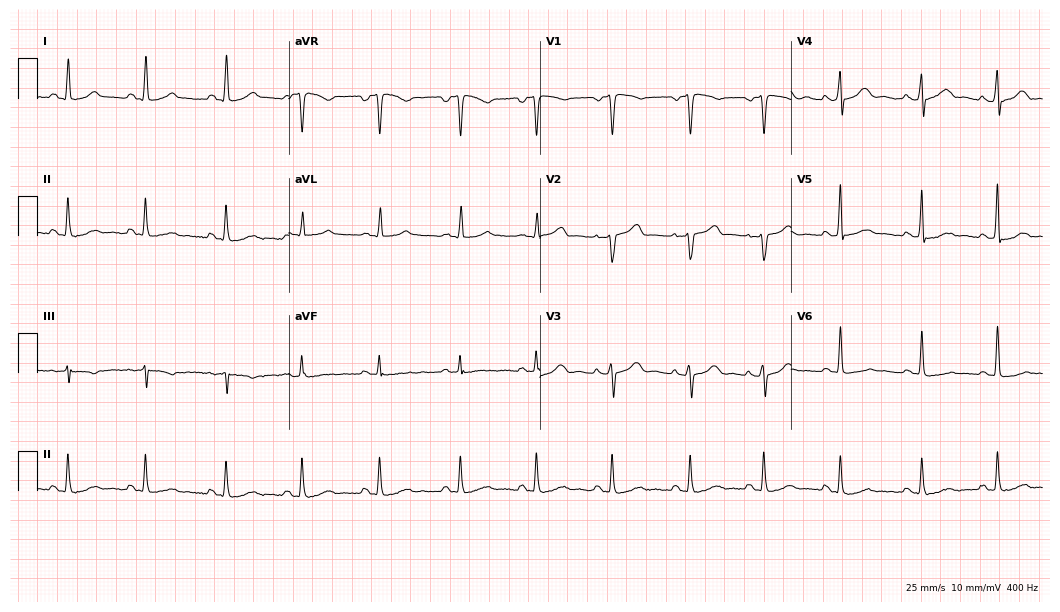
Standard 12-lead ECG recorded from a woman, 43 years old (10.2-second recording at 400 Hz). Read as a normal ECG.